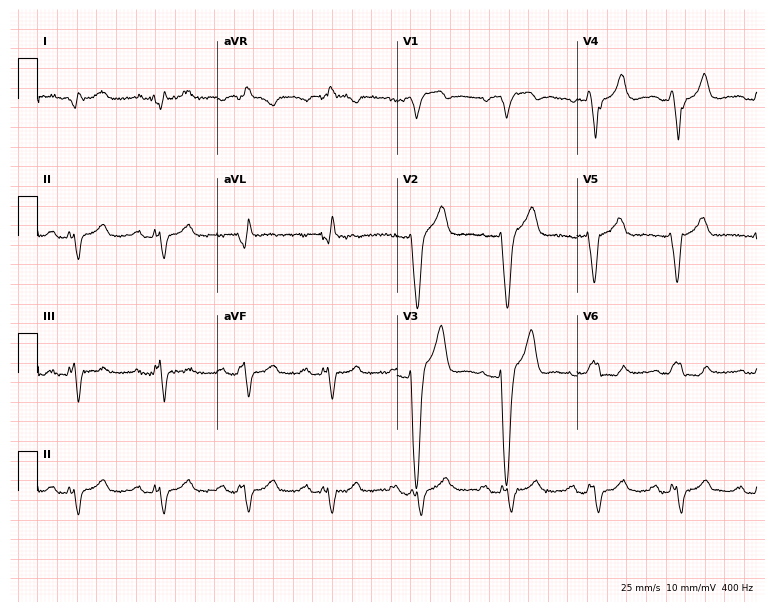
12-lead ECG from a woman, 81 years old (7.3-second recording at 400 Hz). Shows left bundle branch block (LBBB).